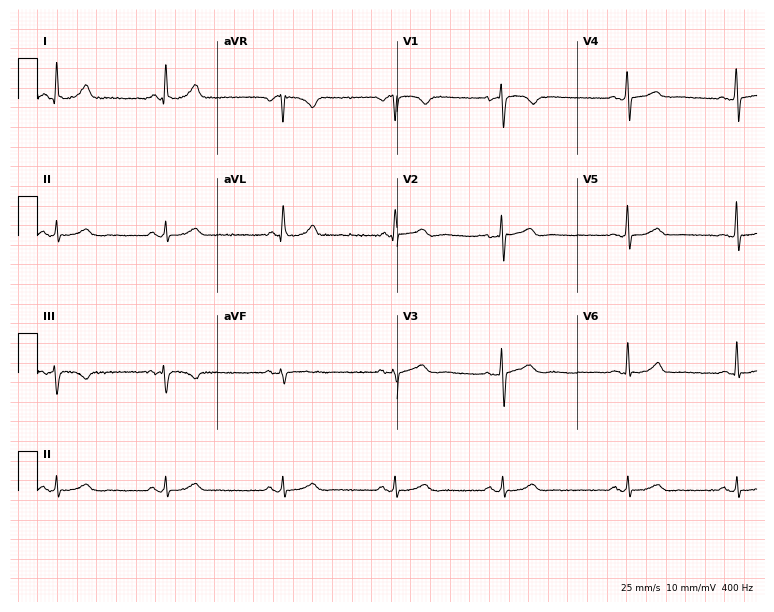
12-lead ECG from a woman, 42 years old. Recorded interpretation: within normal limits.